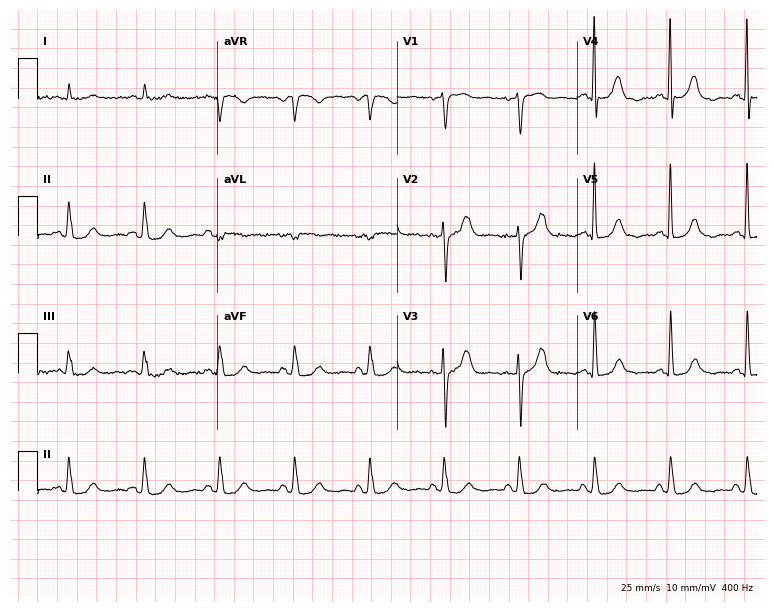
Resting 12-lead electrocardiogram (7.3-second recording at 400 Hz). Patient: a 75-year-old man. None of these six findings is recorded: first-degree AV block, right bundle branch block, left bundle branch block, sinus bradycardia, atrial fibrillation, sinus tachycardia. Other findings, if any, are not listed.